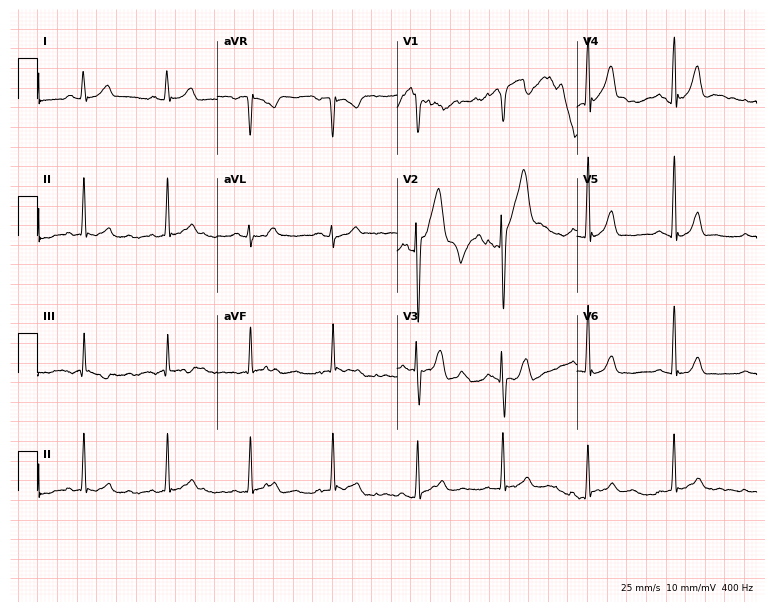
Electrocardiogram (7.3-second recording at 400 Hz), a 37-year-old male. Overall reading on record: normal ECG.